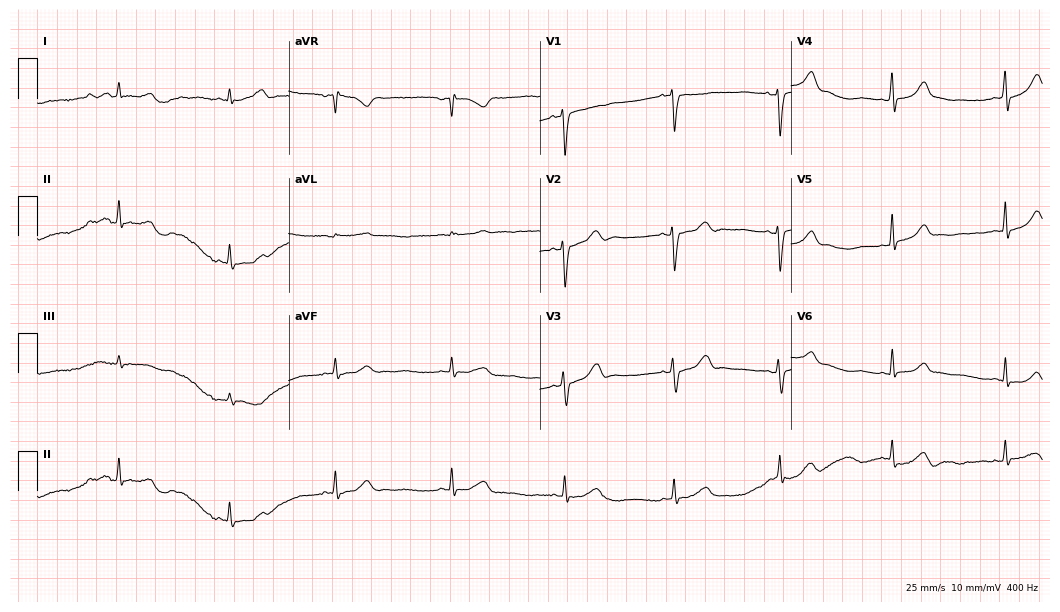
12-lead ECG (10.2-second recording at 400 Hz) from a woman, 22 years old. Screened for six findings — first-degree AV block, right bundle branch block, left bundle branch block, sinus bradycardia, atrial fibrillation, sinus tachycardia — none is recorded. Findings outside these six are not listed.